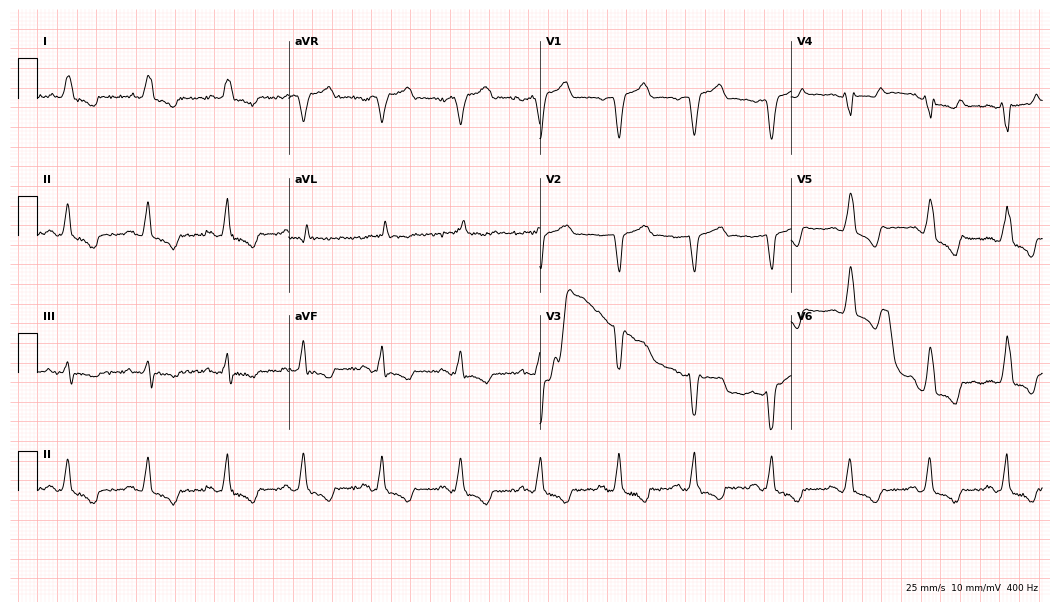
Electrocardiogram, a 68-year-old male patient. Of the six screened findings (first-degree AV block, right bundle branch block, left bundle branch block, sinus bradycardia, atrial fibrillation, sinus tachycardia), none is recorded. Findings outside these six are not listed.